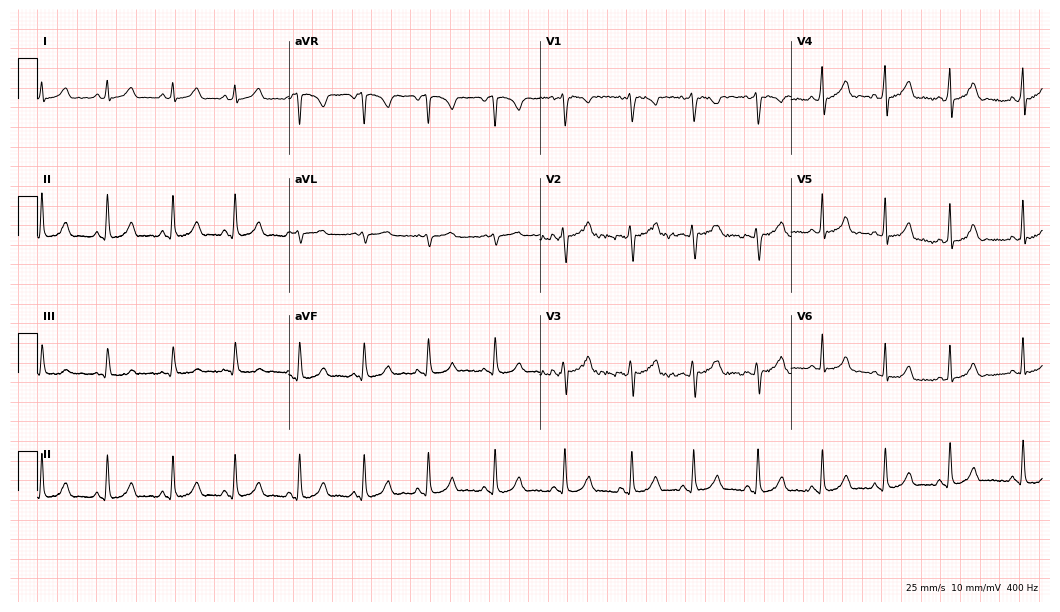
Standard 12-lead ECG recorded from a 20-year-old female patient. Read as a normal ECG.